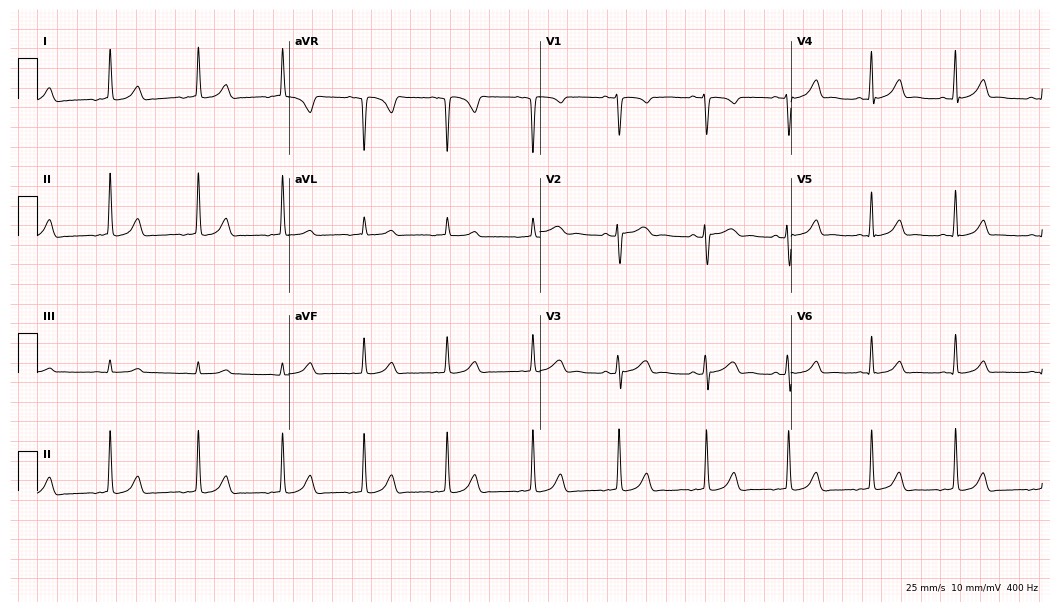
ECG (10.2-second recording at 400 Hz) — a 23-year-old woman. Screened for six findings — first-degree AV block, right bundle branch block, left bundle branch block, sinus bradycardia, atrial fibrillation, sinus tachycardia — none is recorded.